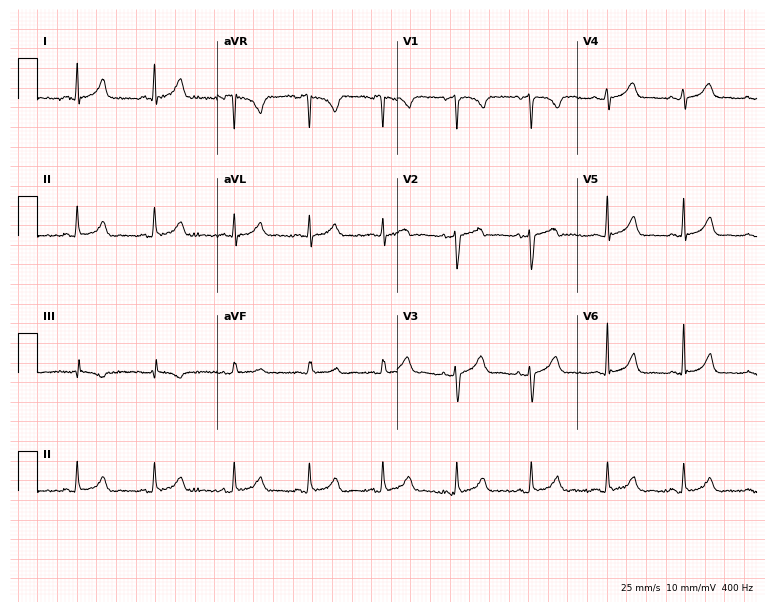
ECG (7.3-second recording at 400 Hz) — a 54-year-old female patient. Labelled as a normal ECG.